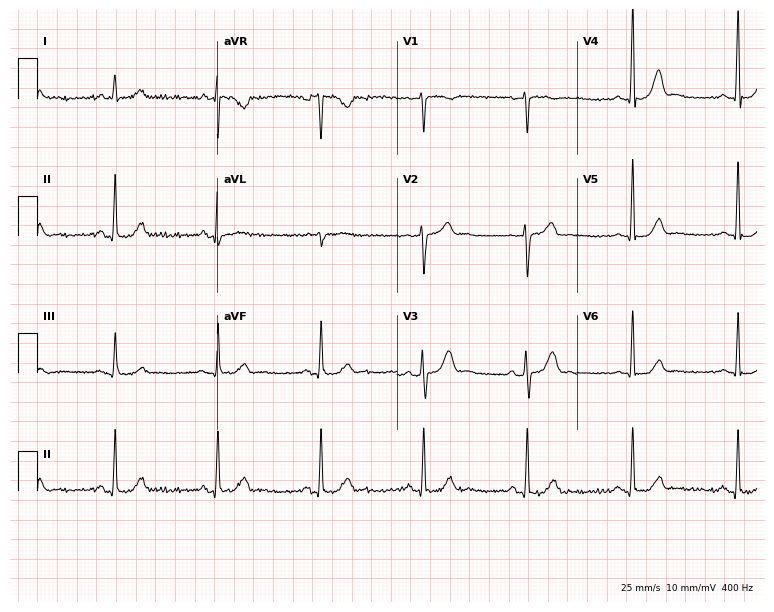
12-lead ECG from a 63-year-old male. Recorded interpretation: within normal limits.